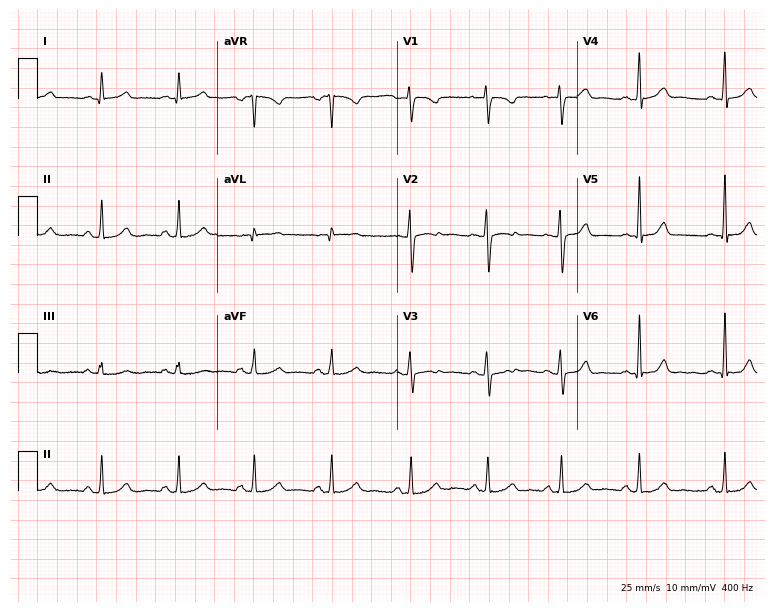
Electrocardiogram (7.3-second recording at 400 Hz), a woman, 30 years old. Overall reading on record: normal ECG.